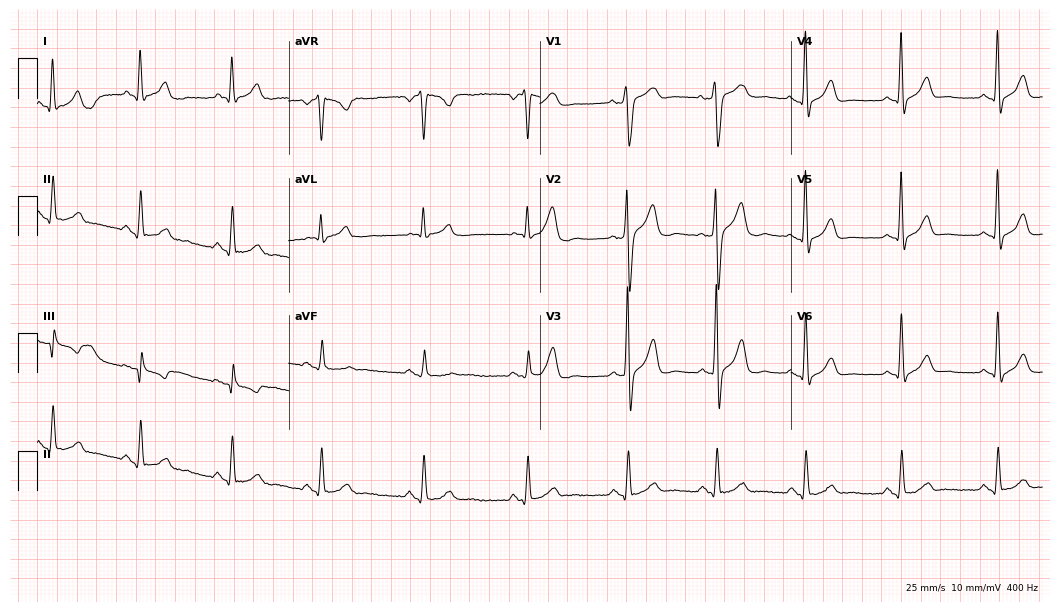
Standard 12-lead ECG recorded from a male, 35 years old. None of these six findings is recorded: first-degree AV block, right bundle branch block, left bundle branch block, sinus bradycardia, atrial fibrillation, sinus tachycardia.